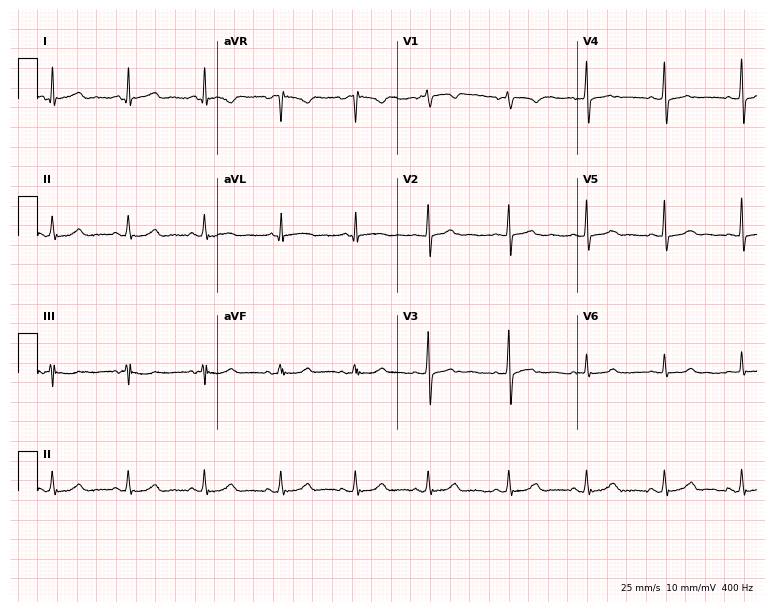
12-lead ECG (7.3-second recording at 400 Hz) from a woman, 74 years old. Labelled as a normal ECG.